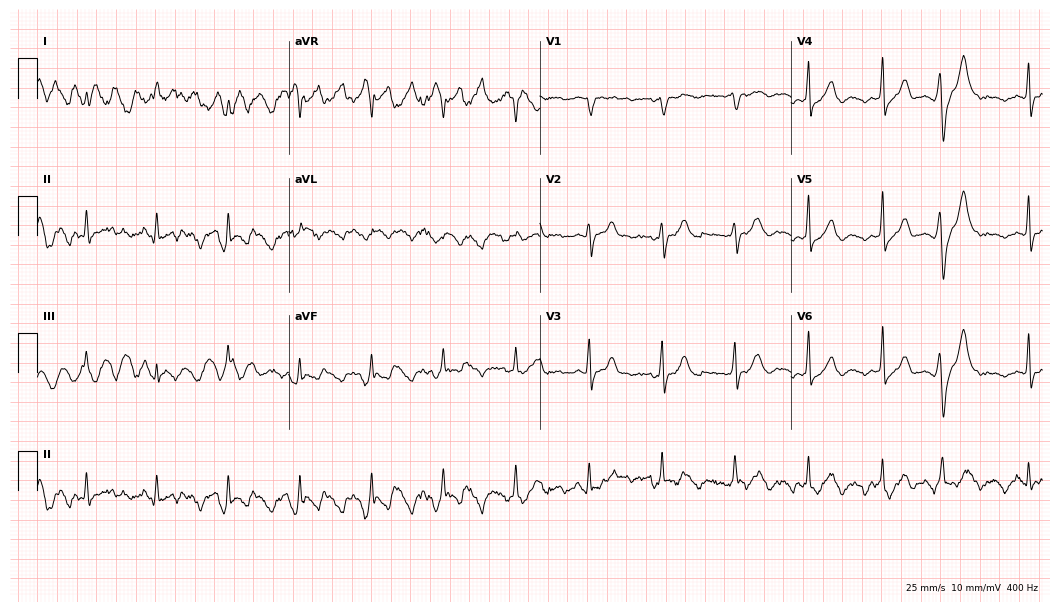
ECG — an 84-year-old male patient. Screened for six findings — first-degree AV block, right bundle branch block (RBBB), left bundle branch block (LBBB), sinus bradycardia, atrial fibrillation (AF), sinus tachycardia — none is recorded.